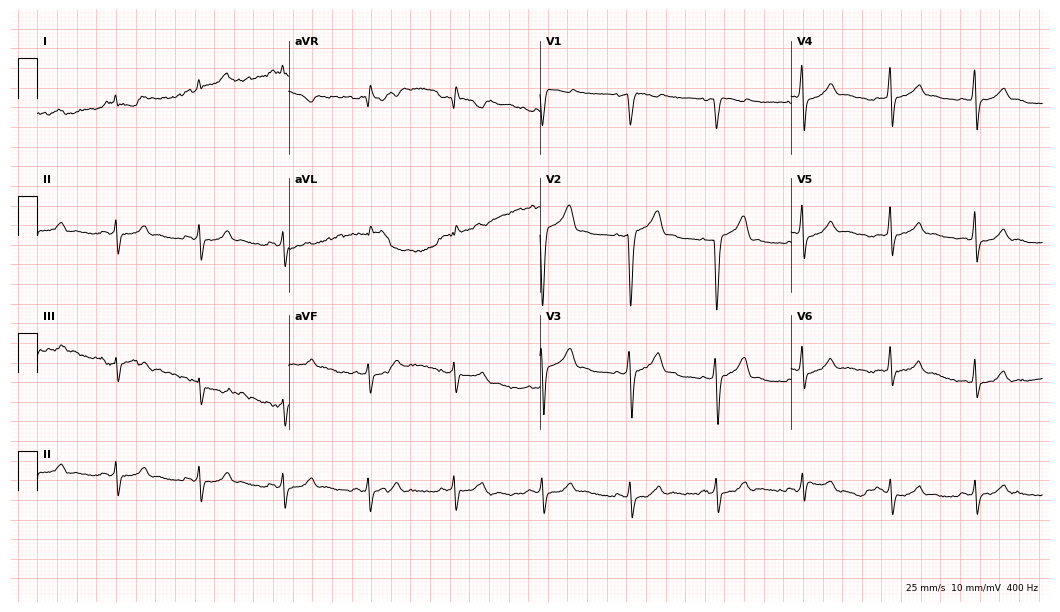
Standard 12-lead ECG recorded from a 48-year-old male patient (10.2-second recording at 400 Hz). None of these six findings is recorded: first-degree AV block, right bundle branch block (RBBB), left bundle branch block (LBBB), sinus bradycardia, atrial fibrillation (AF), sinus tachycardia. Findings outside these six are not listed.